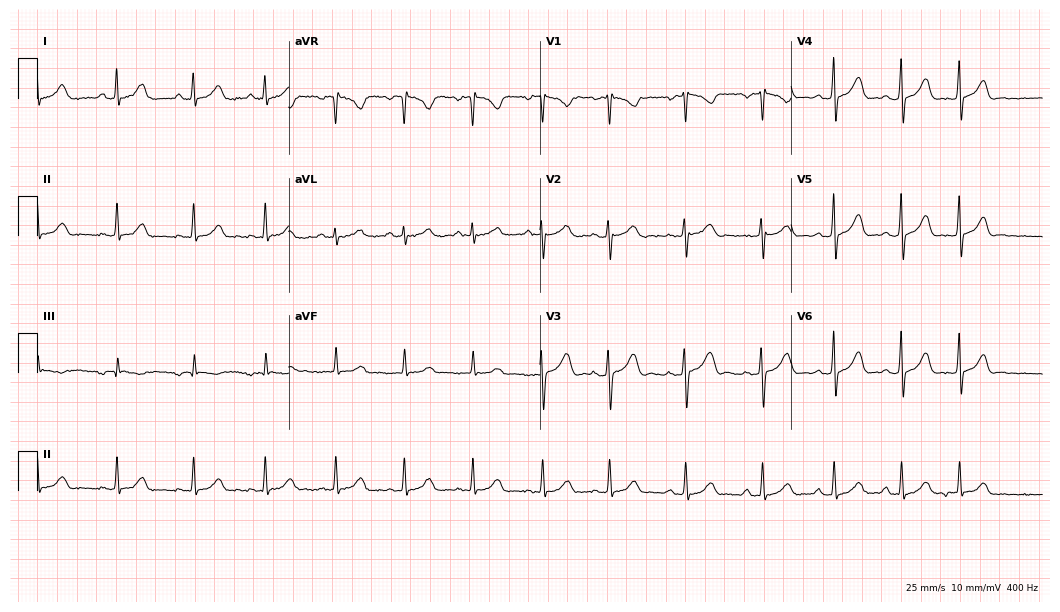
ECG (10.2-second recording at 400 Hz) — a 36-year-old female patient. Labelled as a normal ECG.